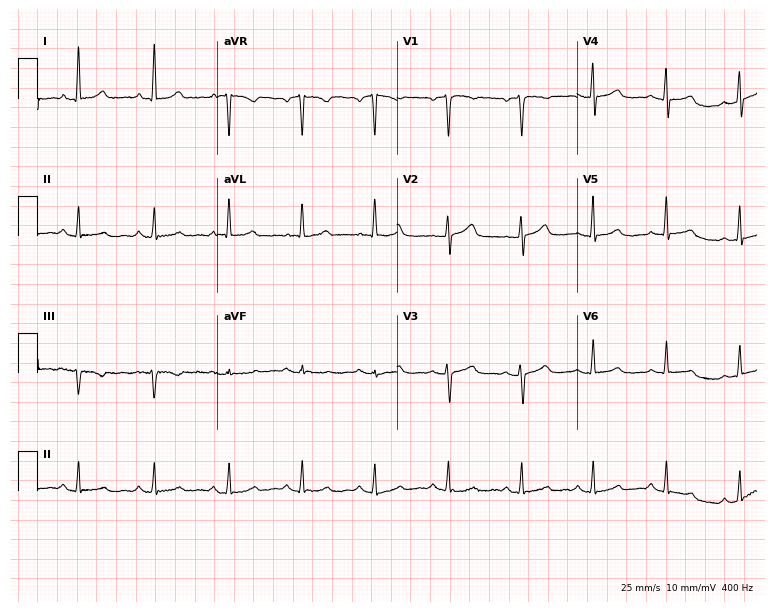
Resting 12-lead electrocardiogram (7.3-second recording at 400 Hz). Patient: a female, 52 years old. Read as a normal ECG.